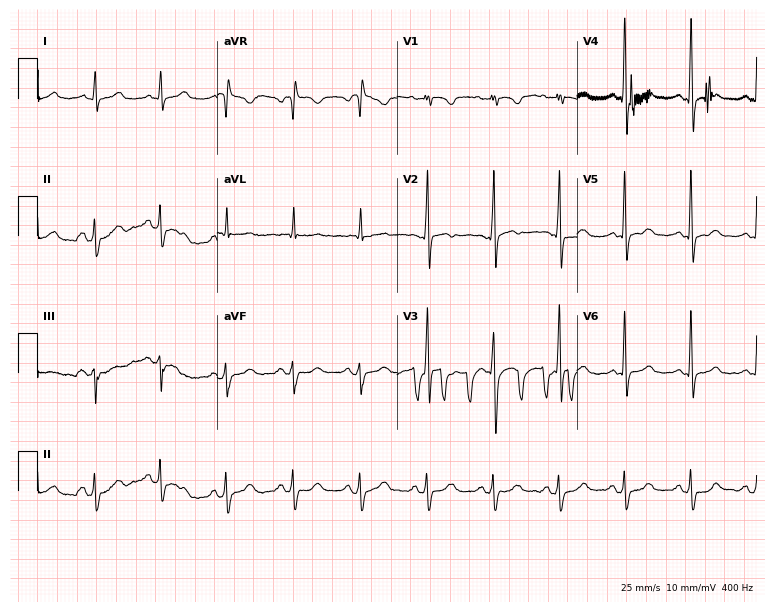
ECG — a 58-year-old female. Screened for six findings — first-degree AV block, right bundle branch block (RBBB), left bundle branch block (LBBB), sinus bradycardia, atrial fibrillation (AF), sinus tachycardia — none is recorded. Other findings, if any, are not listed.